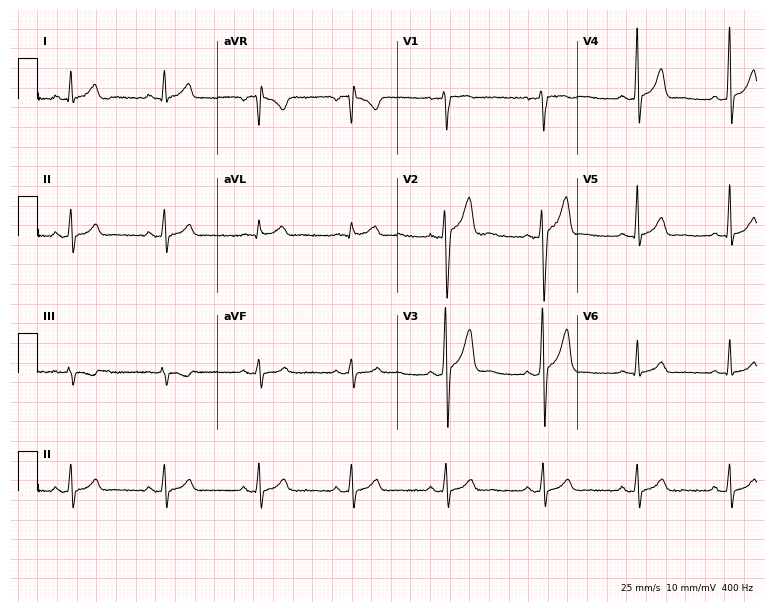
Electrocardiogram (7.3-second recording at 400 Hz), a male patient, 31 years old. Of the six screened findings (first-degree AV block, right bundle branch block, left bundle branch block, sinus bradycardia, atrial fibrillation, sinus tachycardia), none is recorded.